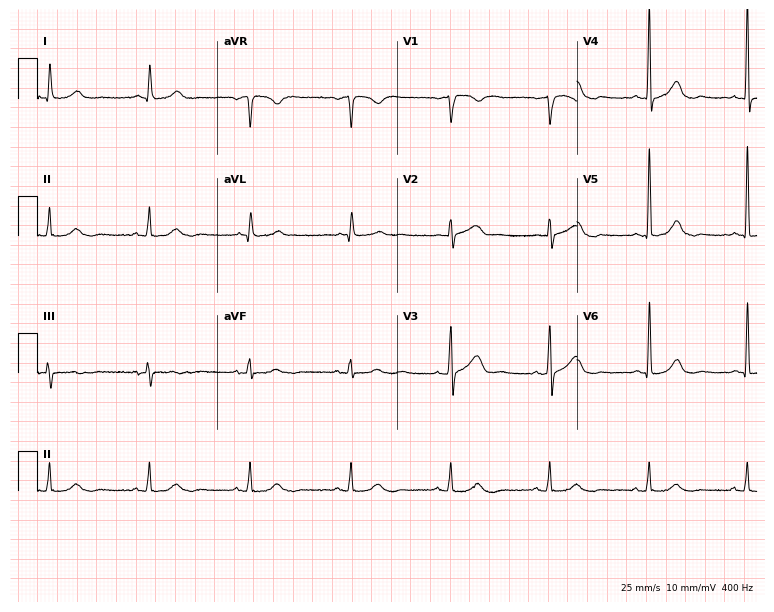
Resting 12-lead electrocardiogram (7.3-second recording at 400 Hz). Patient: a male, 71 years old. Read as a normal ECG.